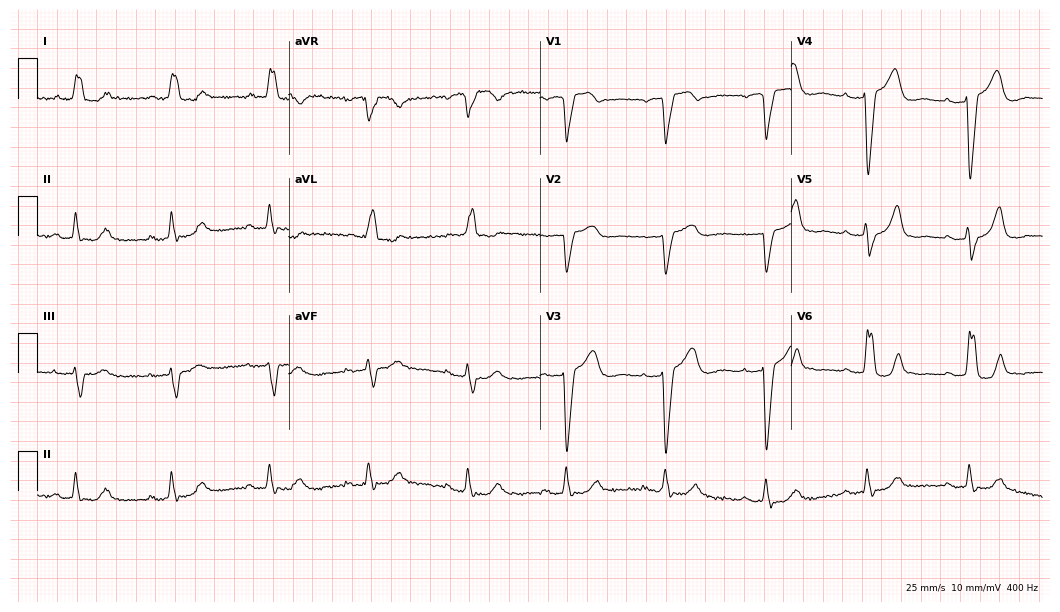
Standard 12-lead ECG recorded from an 83-year-old female. The tracing shows left bundle branch block.